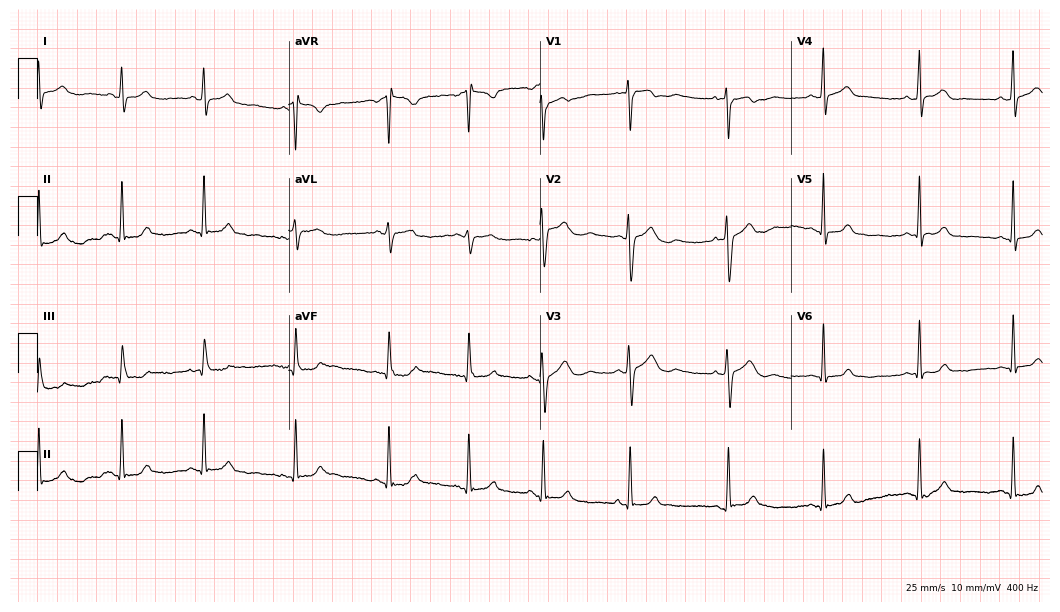
12-lead ECG from a 21-year-old female. Labelled as a normal ECG.